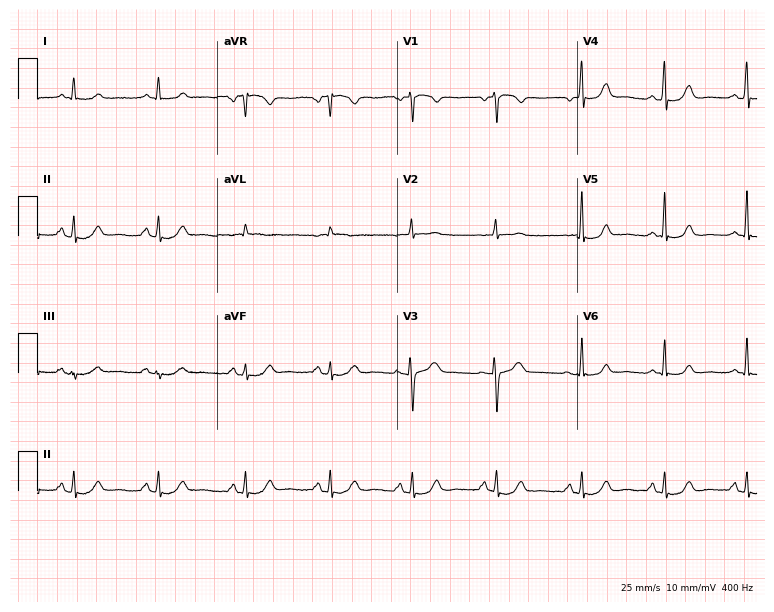
Electrocardiogram, a 68-year-old female. Of the six screened findings (first-degree AV block, right bundle branch block, left bundle branch block, sinus bradycardia, atrial fibrillation, sinus tachycardia), none is recorded.